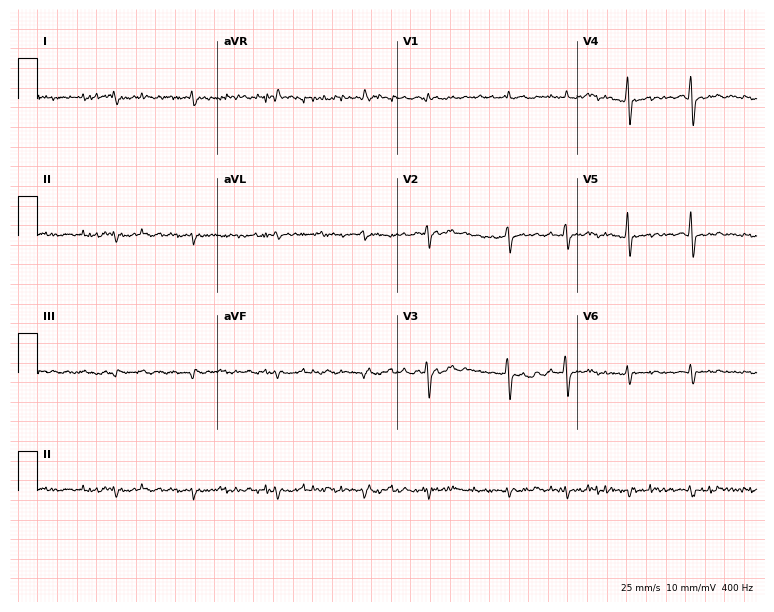
12-lead ECG from a male patient, 83 years old (7.3-second recording at 400 Hz). No first-degree AV block, right bundle branch block (RBBB), left bundle branch block (LBBB), sinus bradycardia, atrial fibrillation (AF) or sinus tachycardia recorded for this tracing. Other findings, if any, are not listed.